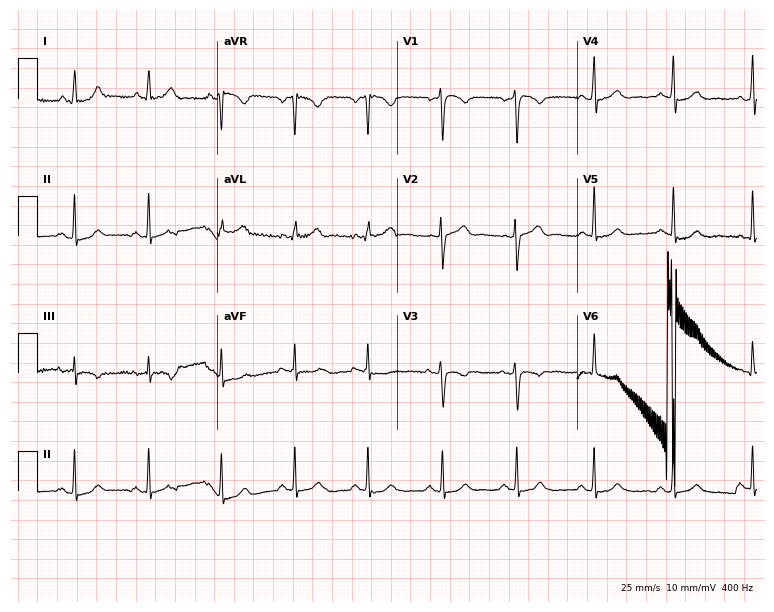
ECG (7.3-second recording at 400 Hz) — a male, 43 years old. Labelled as a normal ECG.